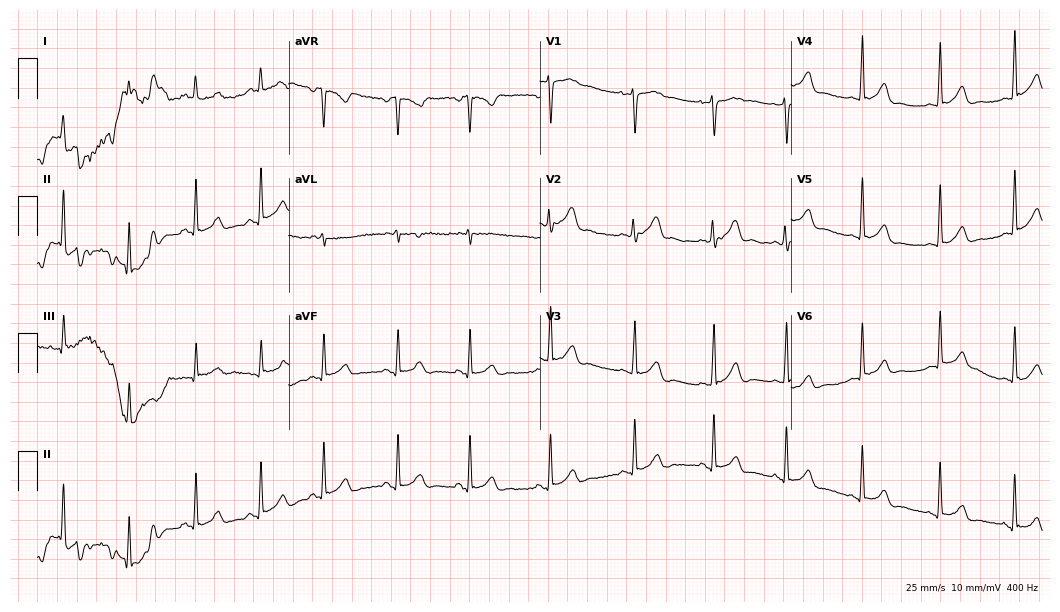
Standard 12-lead ECG recorded from a 19-year-old female patient (10.2-second recording at 400 Hz). Read as a normal ECG.